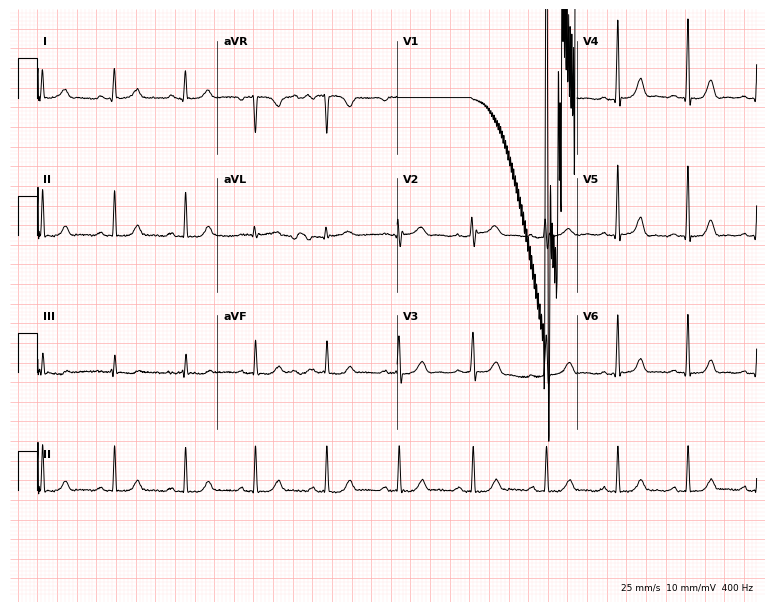
12-lead ECG from a female, 42 years old. Screened for six findings — first-degree AV block, right bundle branch block, left bundle branch block, sinus bradycardia, atrial fibrillation, sinus tachycardia — none is recorded.